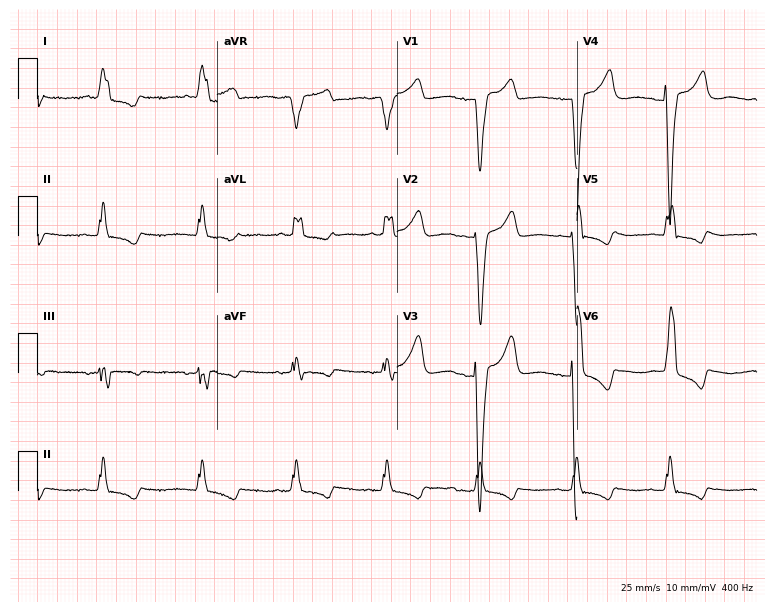
12-lead ECG (7.3-second recording at 400 Hz) from a female, 80 years old. Screened for six findings — first-degree AV block, right bundle branch block, left bundle branch block, sinus bradycardia, atrial fibrillation, sinus tachycardia — none is recorded. Only these six findings were labelled.